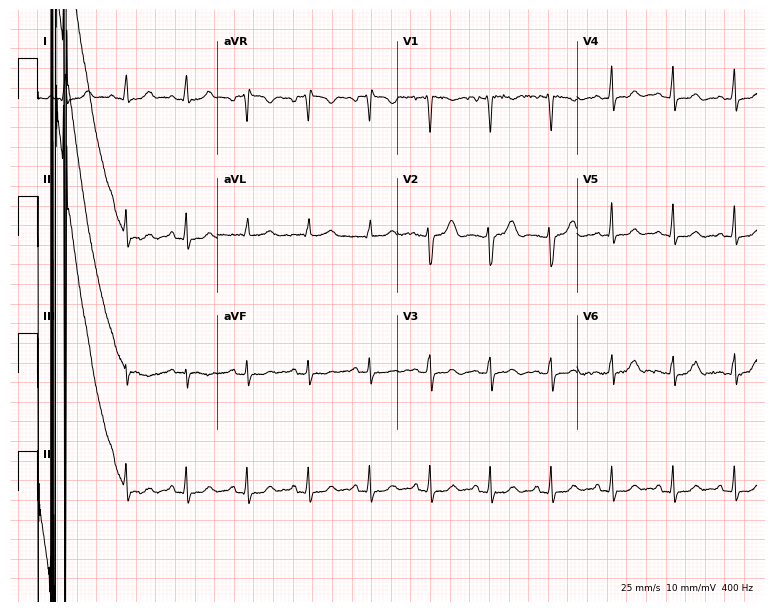
Resting 12-lead electrocardiogram (7.3-second recording at 400 Hz). Patient: a 33-year-old female. Read as a normal ECG.